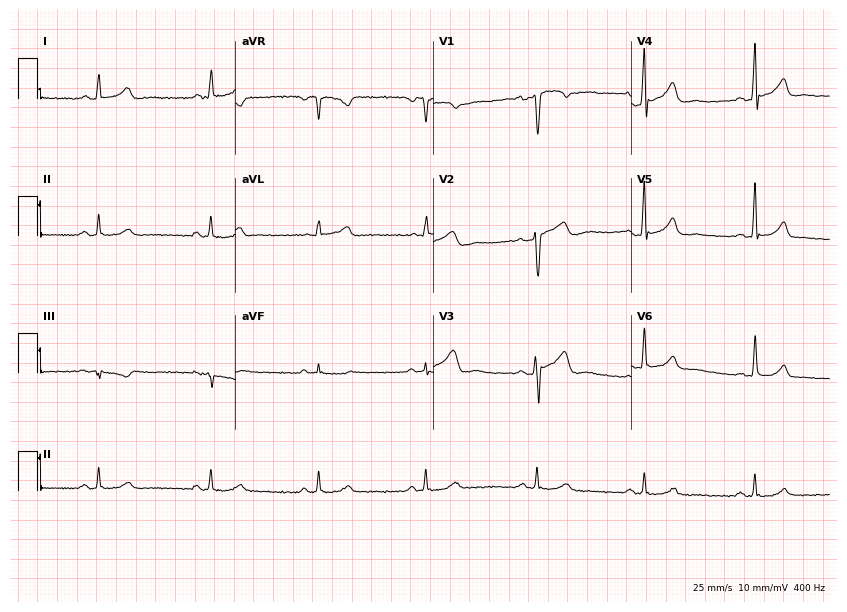
12-lead ECG from a 43-year-old man. Recorded interpretation: within normal limits.